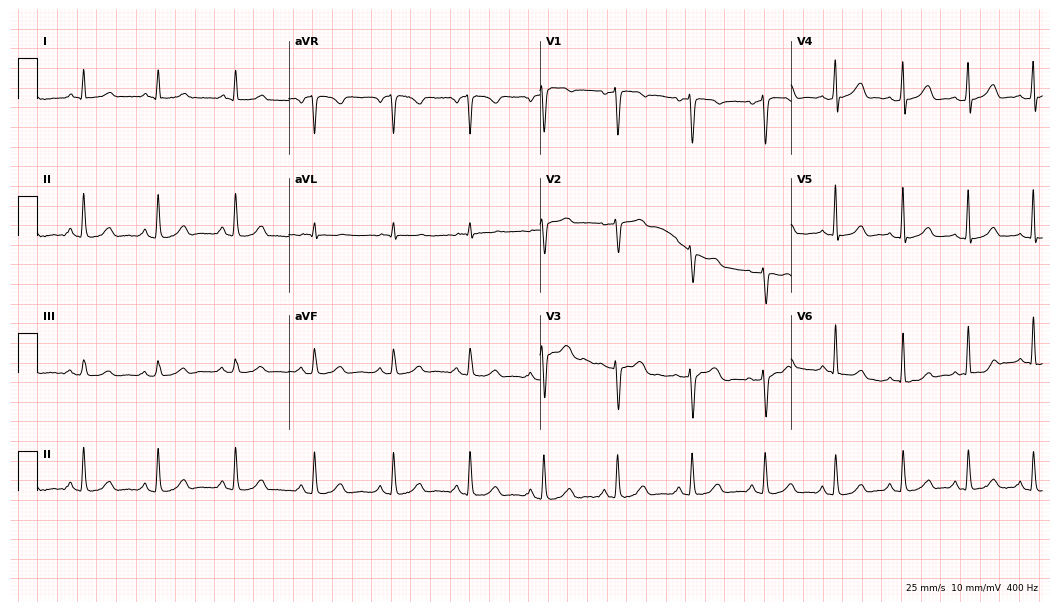
12-lead ECG (10.2-second recording at 400 Hz) from a woman, 55 years old. Labelled as a normal ECG.